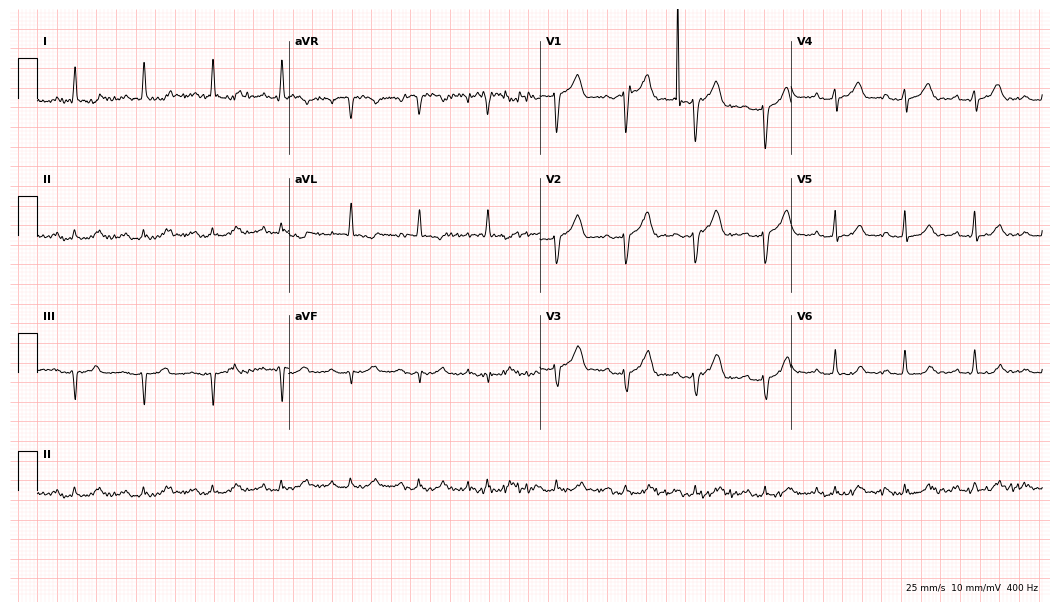
ECG — a male, 85 years old. Labelled as a normal ECG.